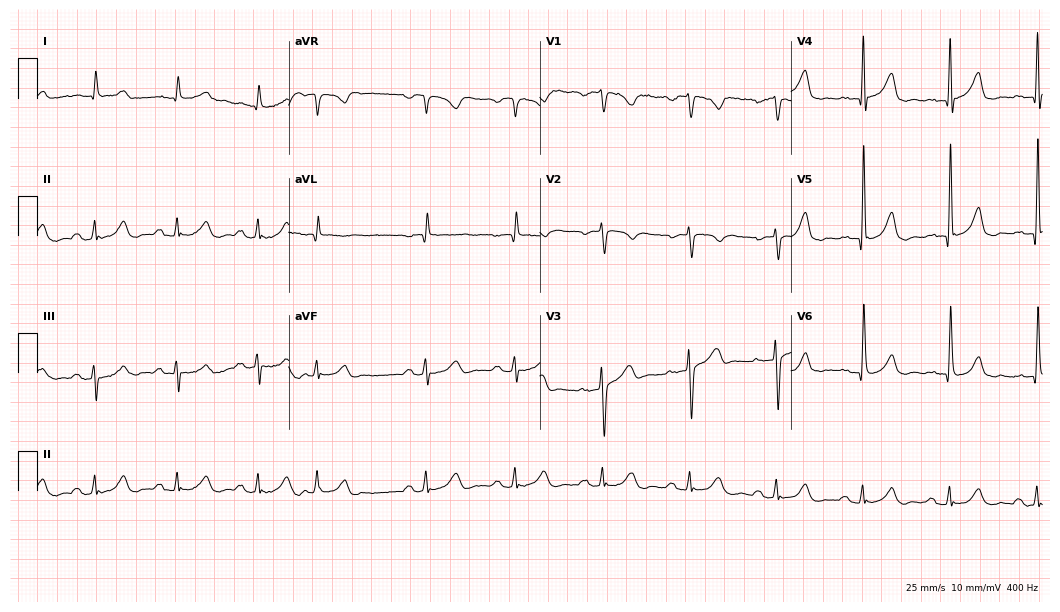
Standard 12-lead ECG recorded from a 79-year-old male patient. None of these six findings is recorded: first-degree AV block, right bundle branch block (RBBB), left bundle branch block (LBBB), sinus bradycardia, atrial fibrillation (AF), sinus tachycardia. Other findings, if any, are not listed.